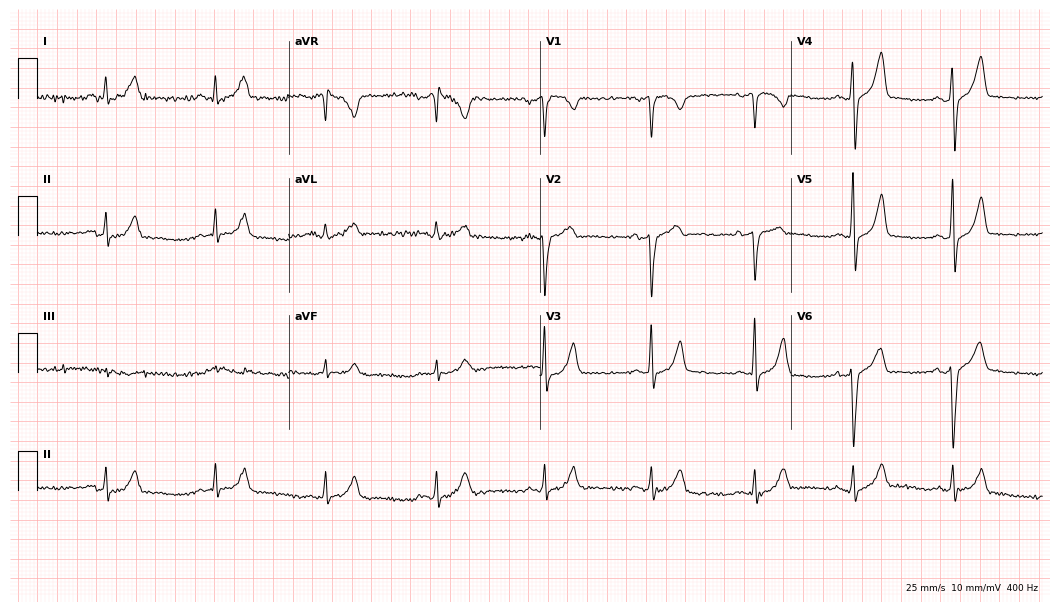
Resting 12-lead electrocardiogram. Patient: a 45-year-old male. Read as a normal ECG.